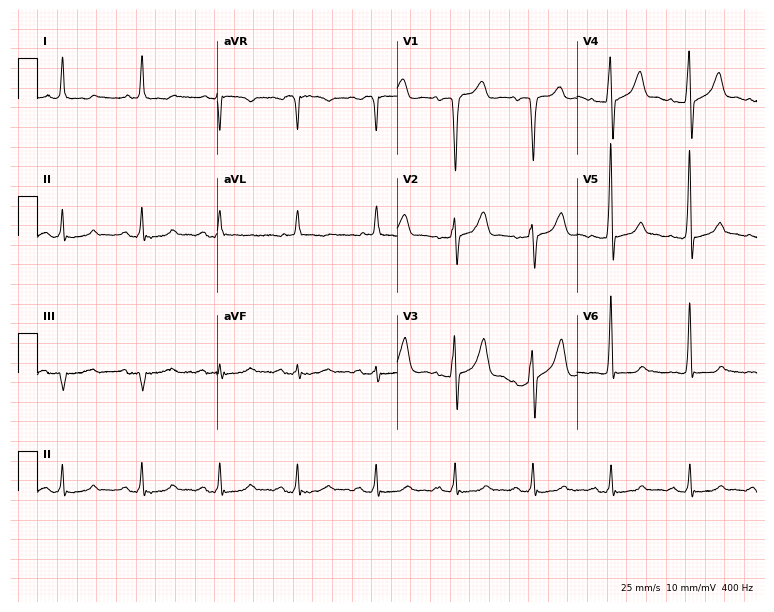
Electrocardiogram, a man, 53 years old. Of the six screened findings (first-degree AV block, right bundle branch block, left bundle branch block, sinus bradycardia, atrial fibrillation, sinus tachycardia), none is recorded. Only these six findings were labelled.